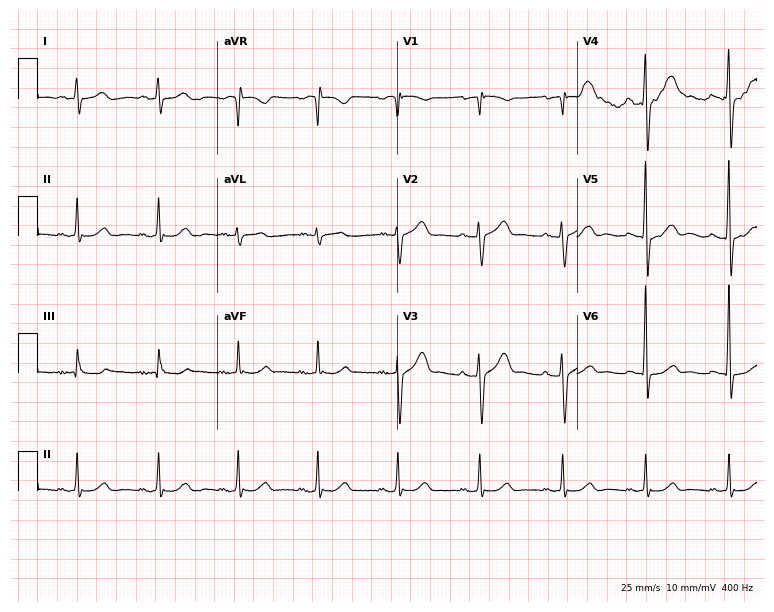
Resting 12-lead electrocardiogram (7.3-second recording at 400 Hz). Patient: a 52-year-old man. Read as a normal ECG.